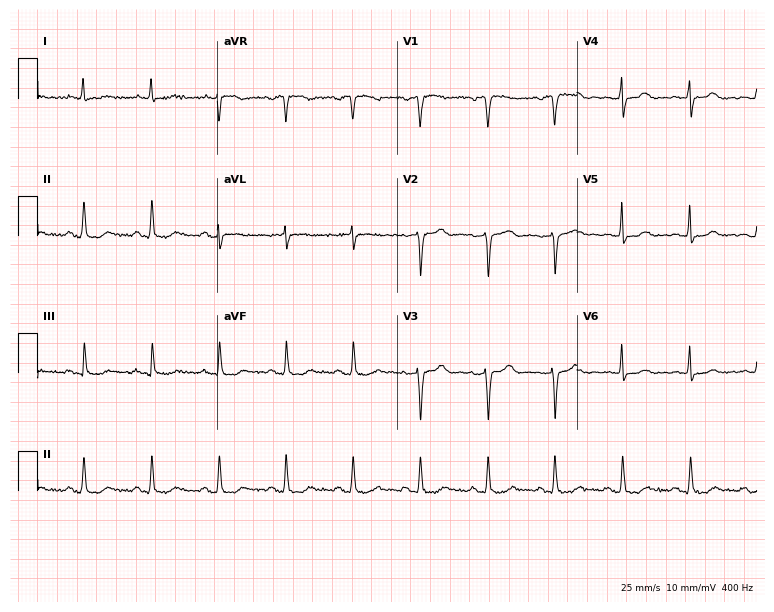
Standard 12-lead ECG recorded from a male patient, 70 years old (7.3-second recording at 400 Hz). Read as a normal ECG.